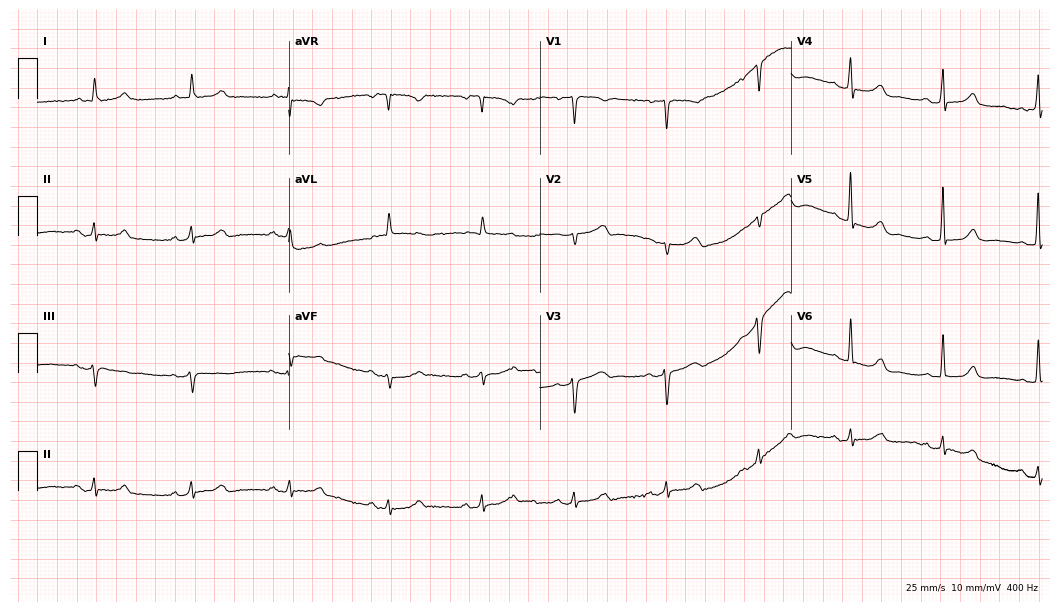
12-lead ECG from a 55-year-old woman. Recorded interpretation: within normal limits.